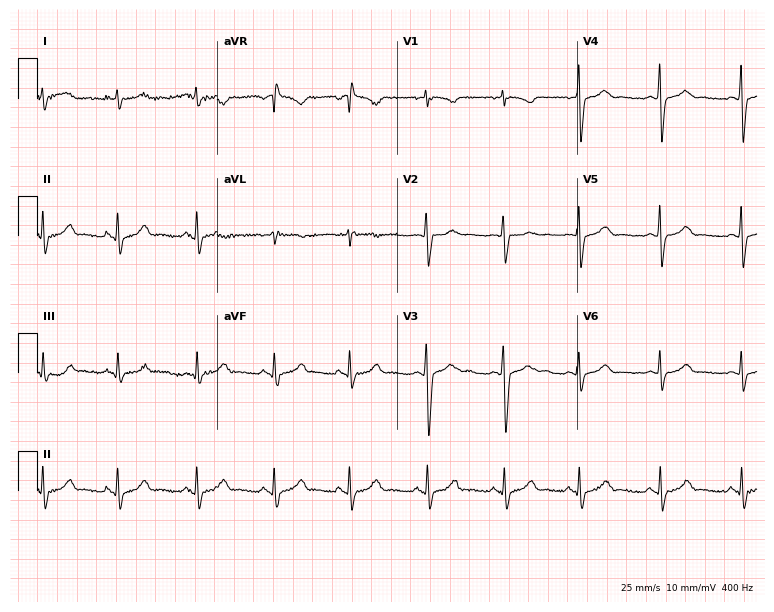
Standard 12-lead ECG recorded from a female, 19 years old (7.3-second recording at 400 Hz). Read as a normal ECG.